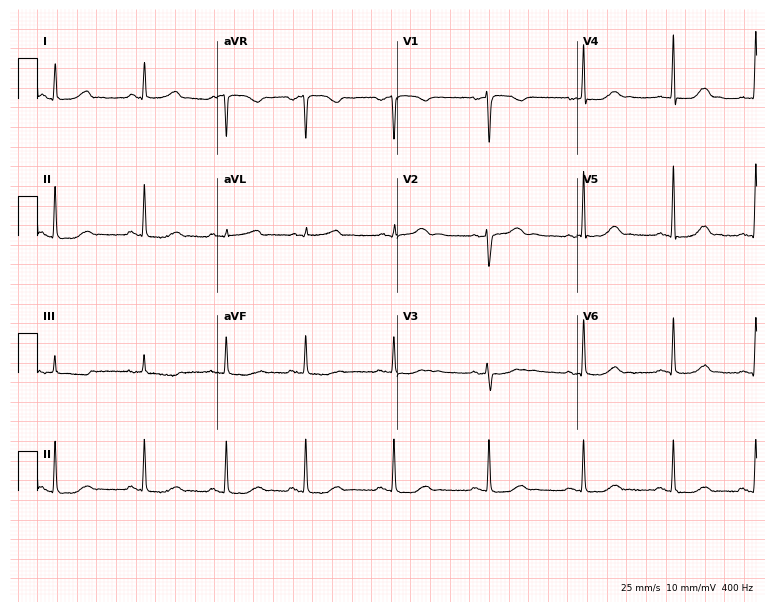
12-lead ECG from a 39-year-old female patient. Screened for six findings — first-degree AV block, right bundle branch block, left bundle branch block, sinus bradycardia, atrial fibrillation, sinus tachycardia — none is recorded.